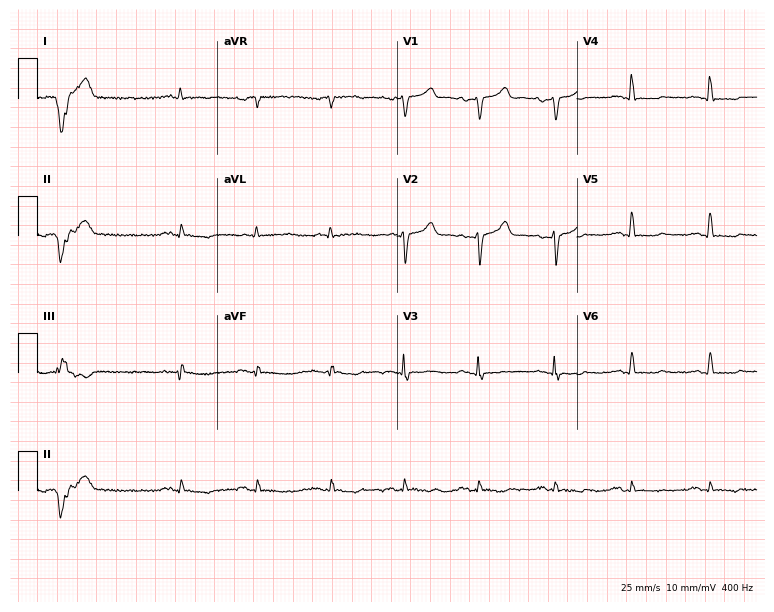
ECG — a male, 56 years old. Screened for six findings — first-degree AV block, right bundle branch block, left bundle branch block, sinus bradycardia, atrial fibrillation, sinus tachycardia — none is recorded. Other findings, if any, are not listed.